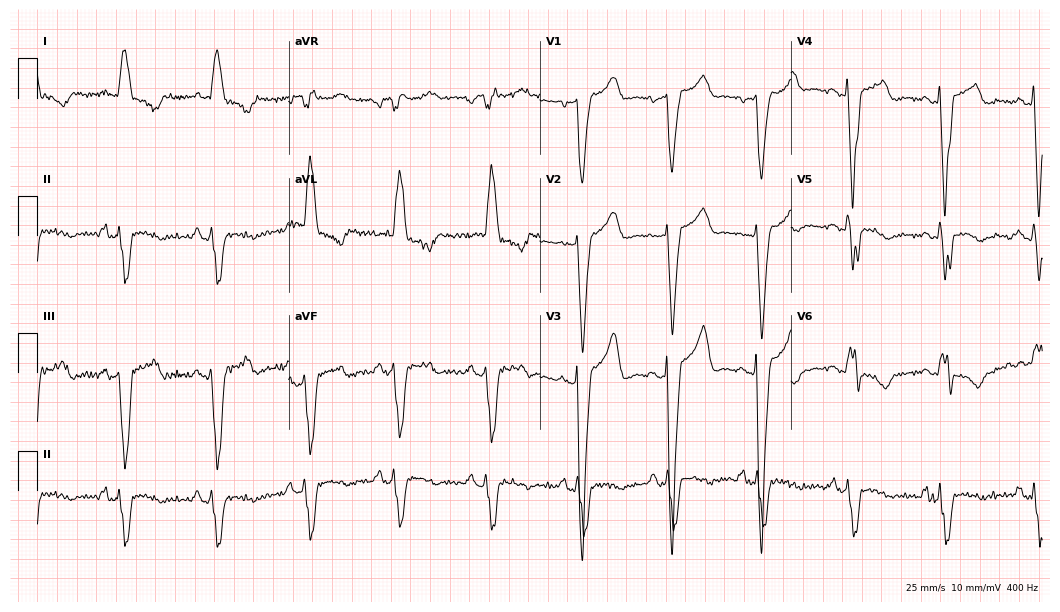
Resting 12-lead electrocardiogram. Patient: a female, 73 years old. The tracing shows left bundle branch block.